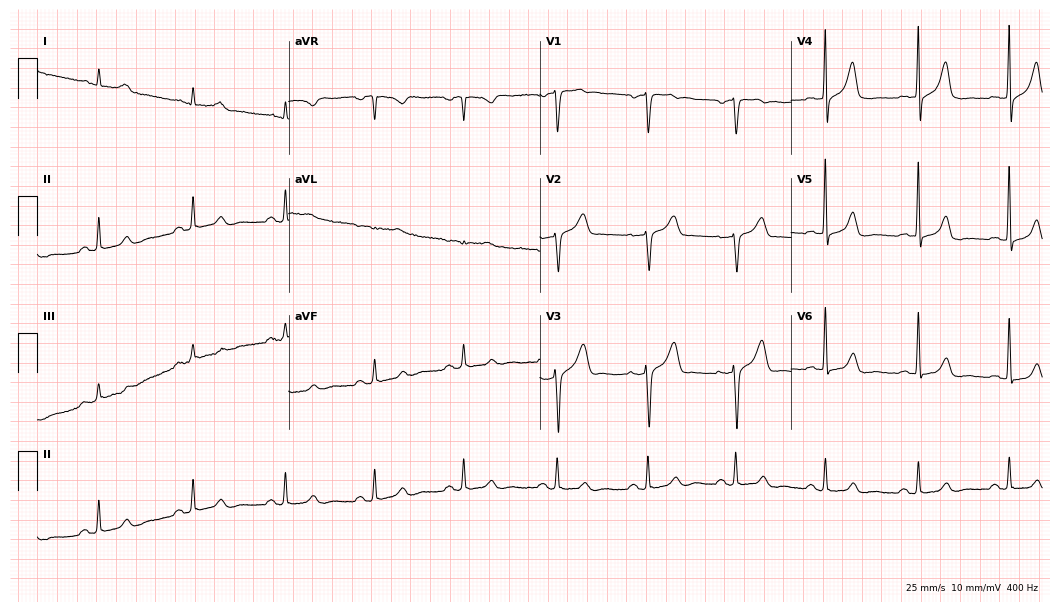
Resting 12-lead electrocardiogram. Patient: a 68-year-old male. Read as a normal ECG.